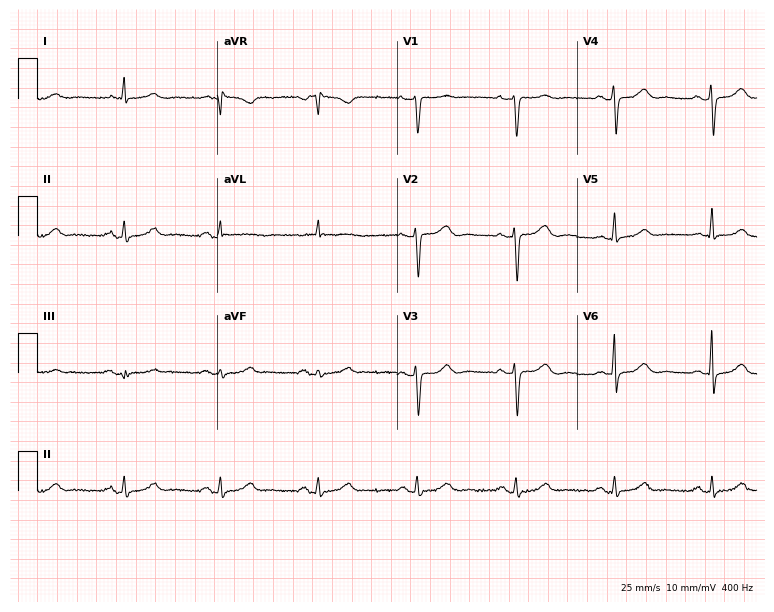
12-lead ECG from a 66-year-old woman (7.3-second recording at 400 Hz). Recorded interpretation: within normal limits.